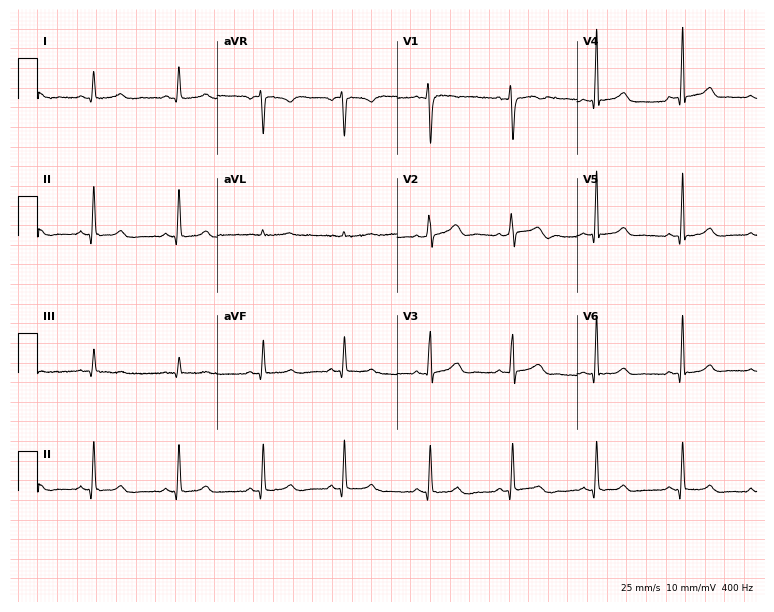
Standard 12-lead ECG recorded from a 22-year-old male. None of these six findings is recorded: first-degree AV block, right bundle branch block (RBBB), left bundle branch block (LBBB), sinus bradycardia, atrial fibrillation (AF), sinus tachycardia.